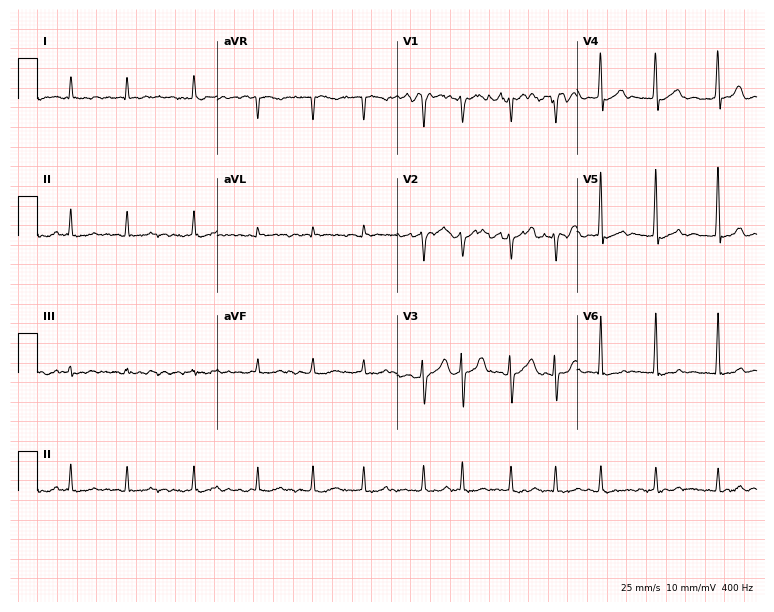
Standard 12-lead ECG recorded from a 48-year-old woman (7.3-second recording at 400 Hz). The tracing shows atrial fibrillation.